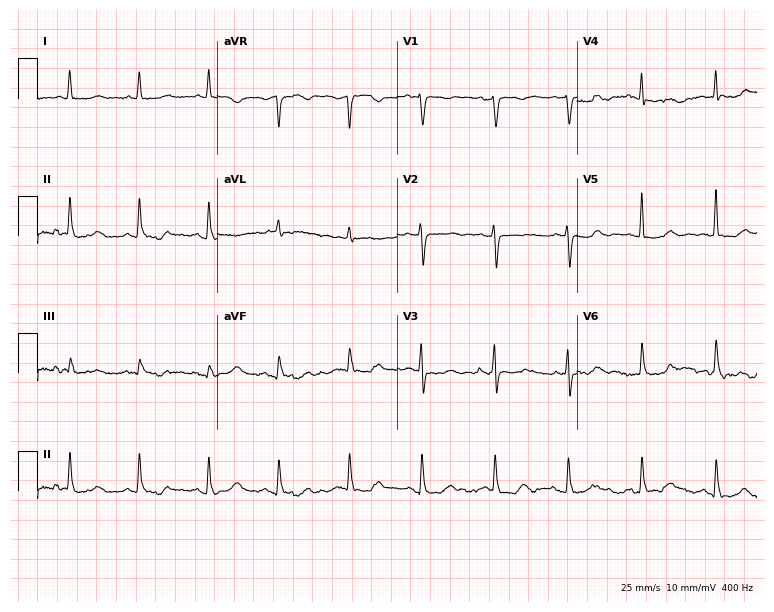
Resting 12-lead electrocardiogram. Patient: an 81-year-old woman. None of these six findings is recorded: first-degree AV block, right bundle branch block, left bundle branch block, sinus bradycardia, atrial fibrillation, sinus tachycardia.